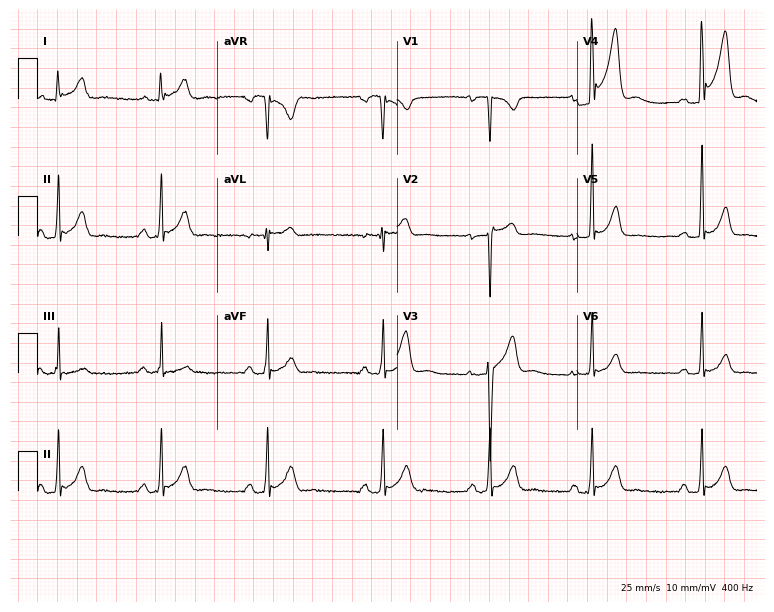
Resting 12-lead electrocardiogram. Patient: a 25-year-old male. None of these six findings is recorded: first-degree AV block, right bundle branch block, left bundle branch block, sinus bradycardia, atrial fibrillation, sinus tachycardia. Other findings, if any, are not listed.